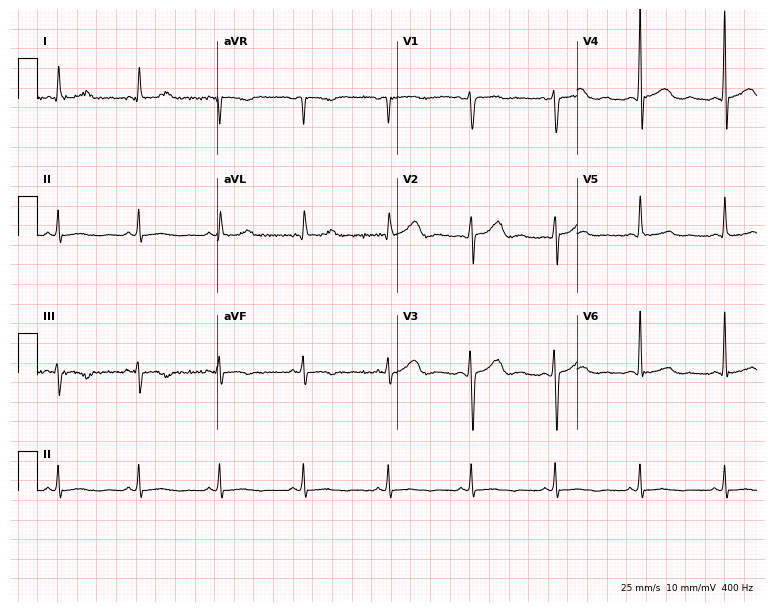
Standard 12-lead ECG recorded from a 42-year-old female patient (7.3-second recording at 400 Hz). Read as a normal ECG.